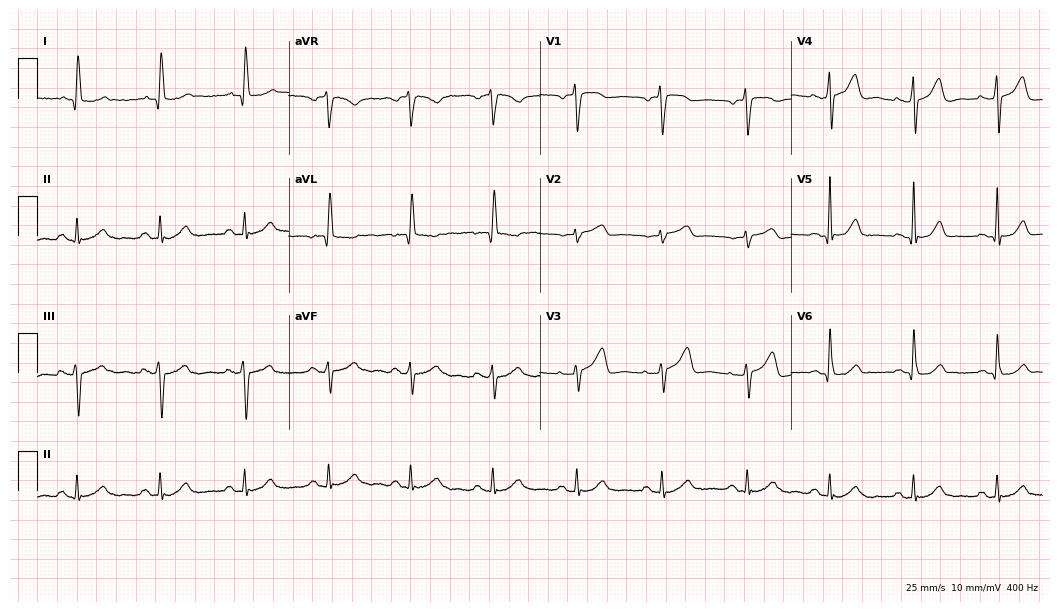
Resting 12-lead electrocardiogram. Patient: an 80-year-old female. Read as a normal ECG.